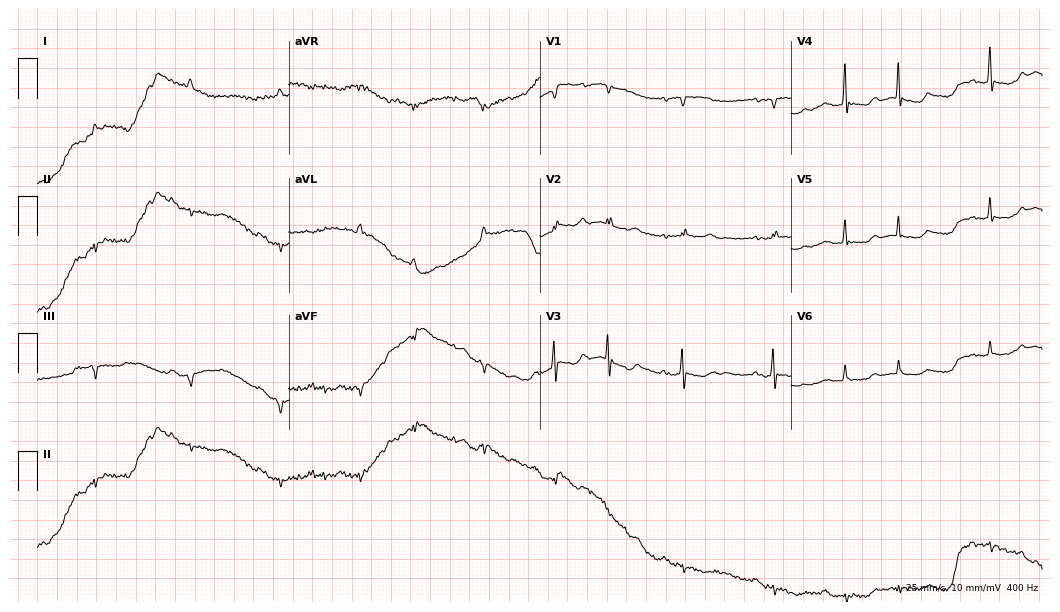
12-lead ECG from an 85-year-old female patient. Screened for six findings — first-degree AV block, right bundle branch block, left bundle branch block, sinus bradycardia, atrial fibrillation, sinus tachycardia — none is recorded.